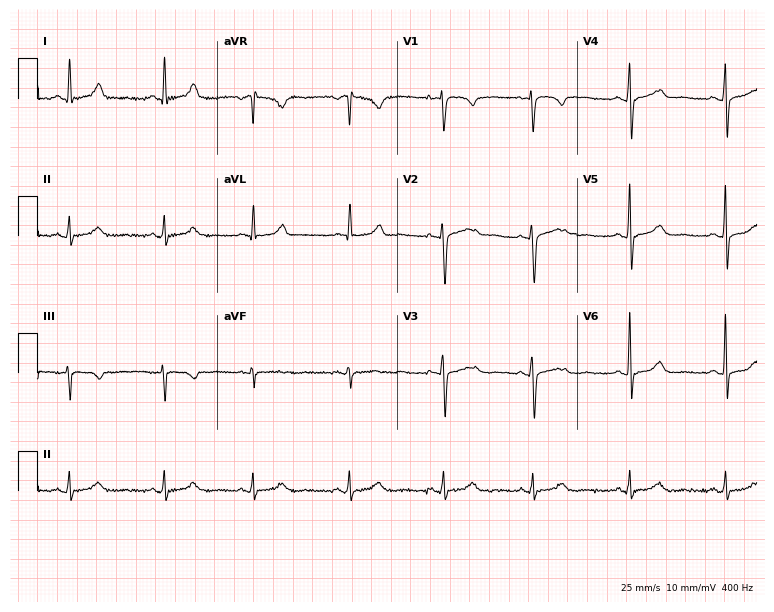
Standard 12-lead ECG recorded from a 44-year-old female. Read as a normal ECG.